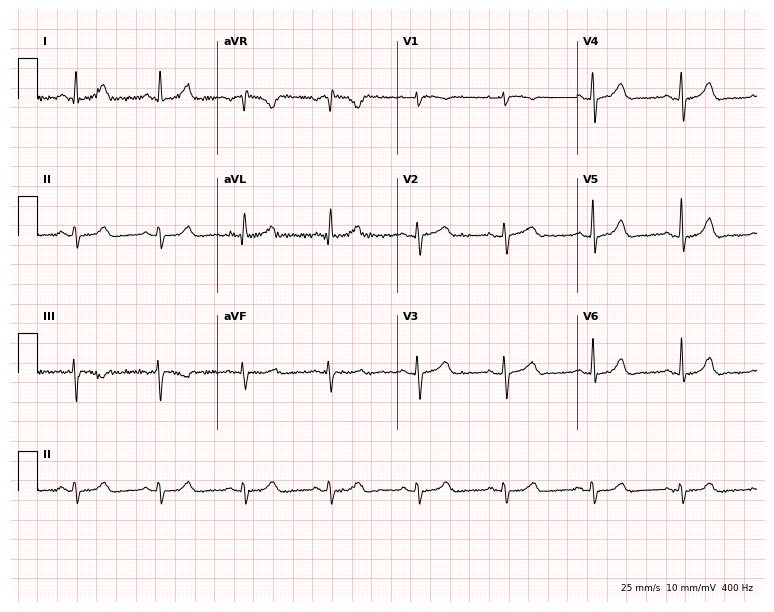
12-lead ECG (7.3-second recording at 400 Hz) from a 54-year-old woman. Labelled as a normal ECG.